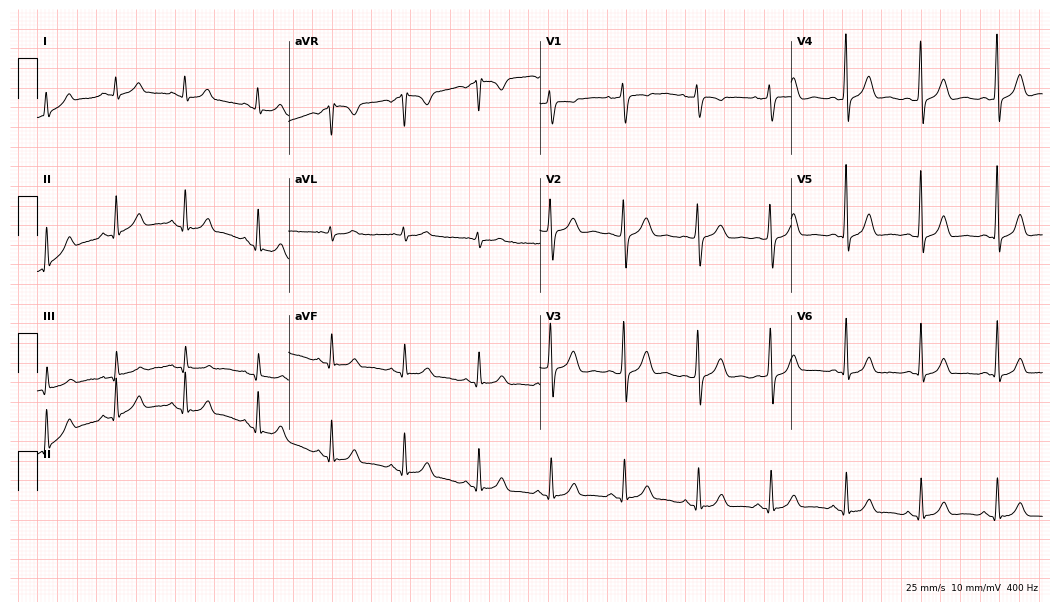
ECG — a 33-year-old female patient. Labelled as a normal ECG.